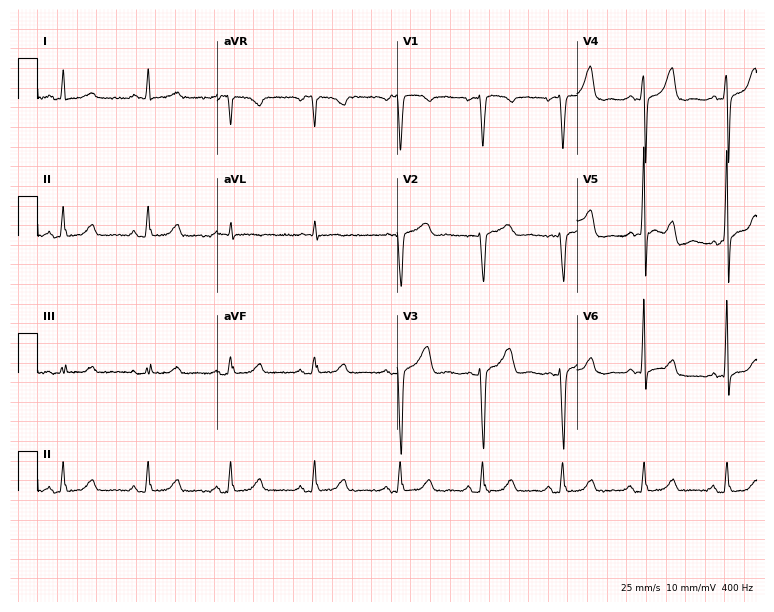
ECG — a 45-year-old female. Screened for six findings — first-degree AV block, right bundle branch block, left bundle branch block, sinus bradycardia, atrial fibrillation, sinus tachycardia — none is recorded.